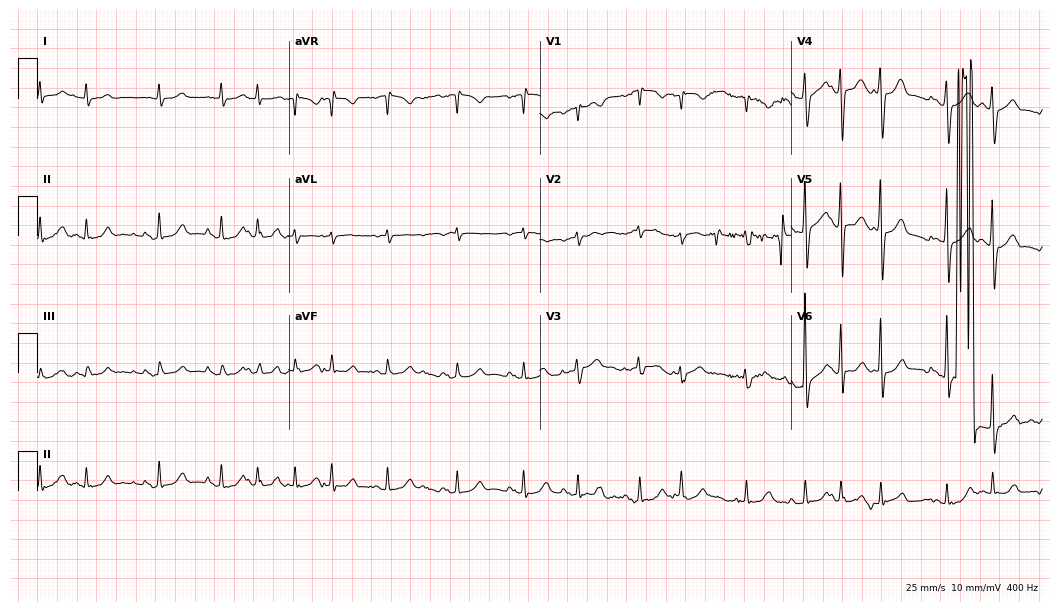
Standard 12-lead ECG recorded from a man, 82 years old (10.2-second recording at 400 Hz). None of these six findings is recorded: first-degree AV block, right bundle branch block (RBBB), left bundle branch block (LBBB), sinus bradycardia, atrial fibrillation (AF), sinus tachycardia. Findings outside these six are not listed.